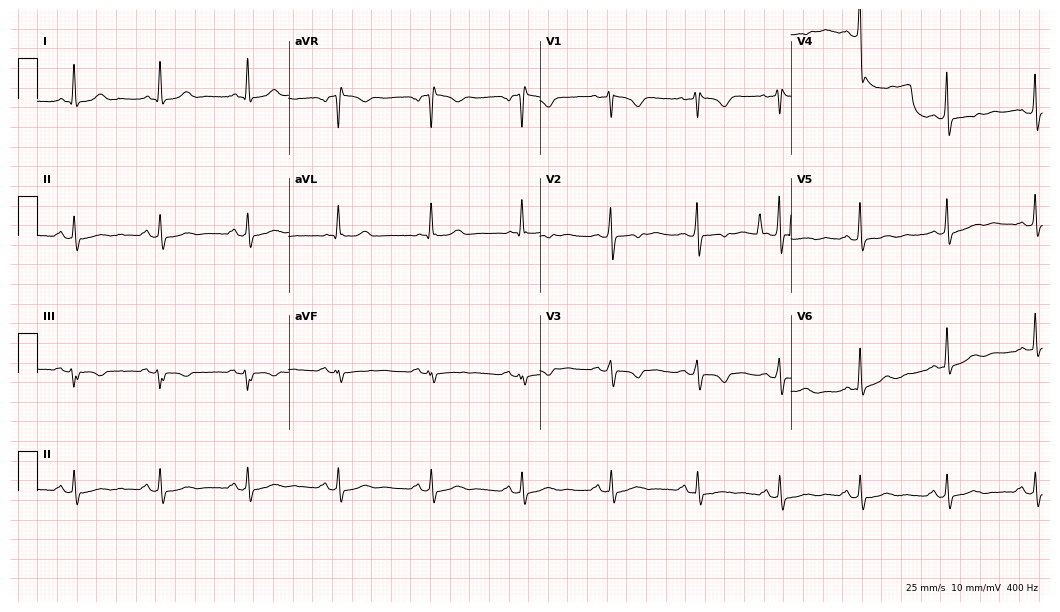
Resting 12-lead electrocardiogram. Patient: a 63-year-old woman. None of these six findings is recorded: first-degree AV block, right bundle branch block, left bundle branch block, sinus bradycardia, atrial fibrillation, sinus tachycardia.